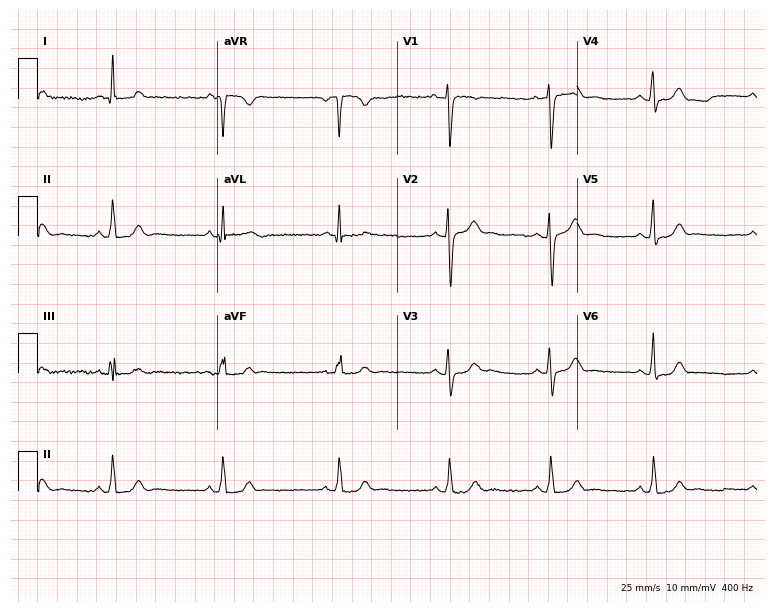
12-lead ECG from an 18-year-old male patient. Screened for six findings — first-degree AV block, right bundle branch block, left bundle branch block, sinus bradycardia, atrial fibrillation, sinus tachycardia — none is recorded.